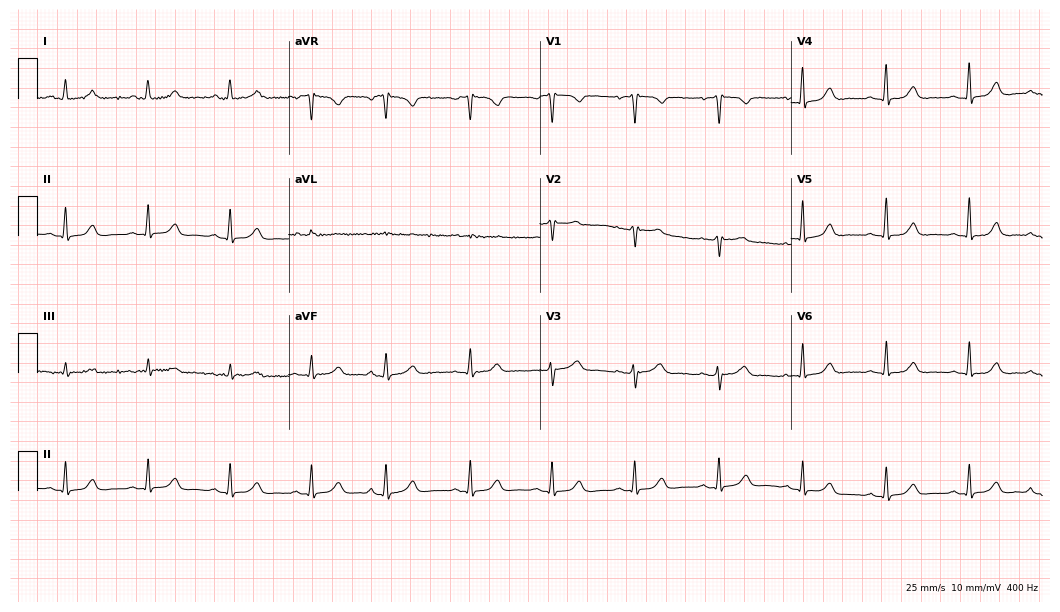
Standard 12-lead ECG recorded from a 49-year-old woman. Read as a normal ECG.